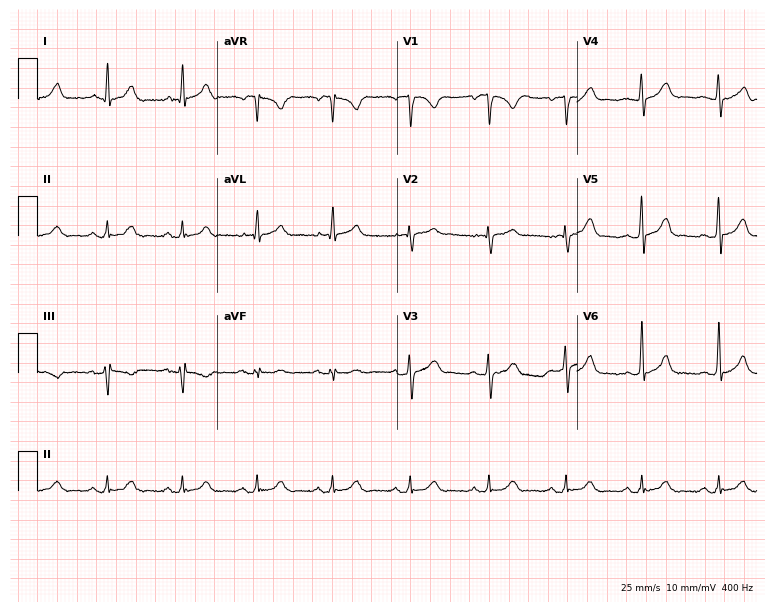
Resting 12-lead electrocardiogram (7.3-second recording at 400 Hz). Patient: a male, 32 years old. Read as a normal ECG.